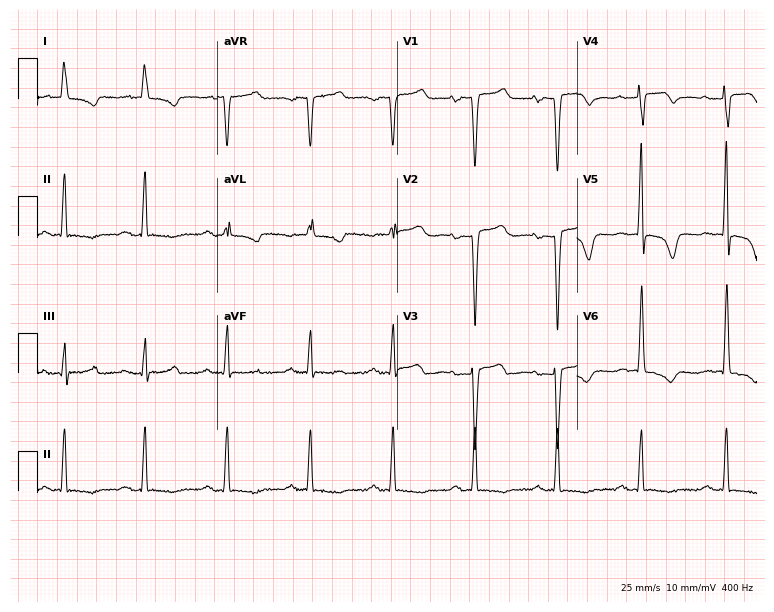
Electrocardiogram, a 79-year-old female patient. Of the six screened findings (first-degree AV block, right bundle branch block, left bundle branch block, sinus bradycardia, atrial fibrillation, sinus tachycardia), none is recorded. Only these six findings were labelled.